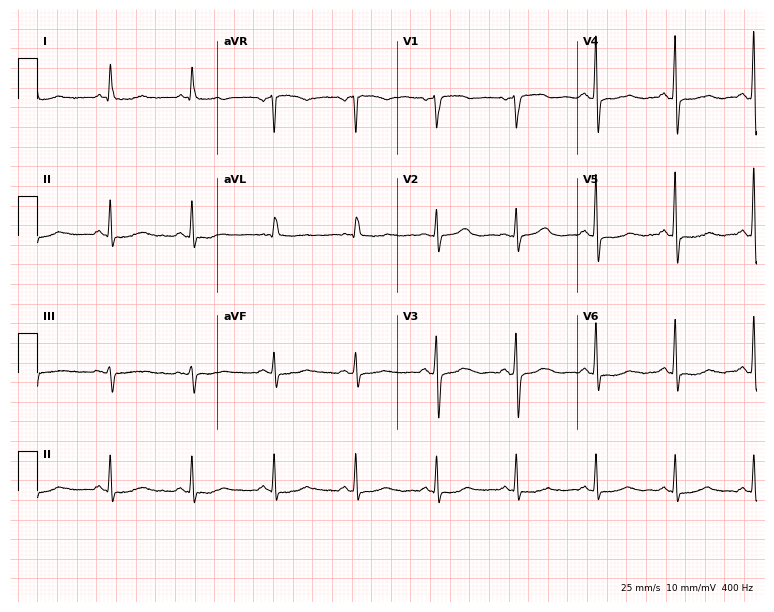
12-lead ECG from a female, 83 years old (7.3-second recording at 400 Hz). No first-degree AV block, right bundle branch block, left bundle branch block, sinus bradycardia, atrial fibrillation or sinus tachycardia recorded for this tracing. Other findings, if any, are not listed.